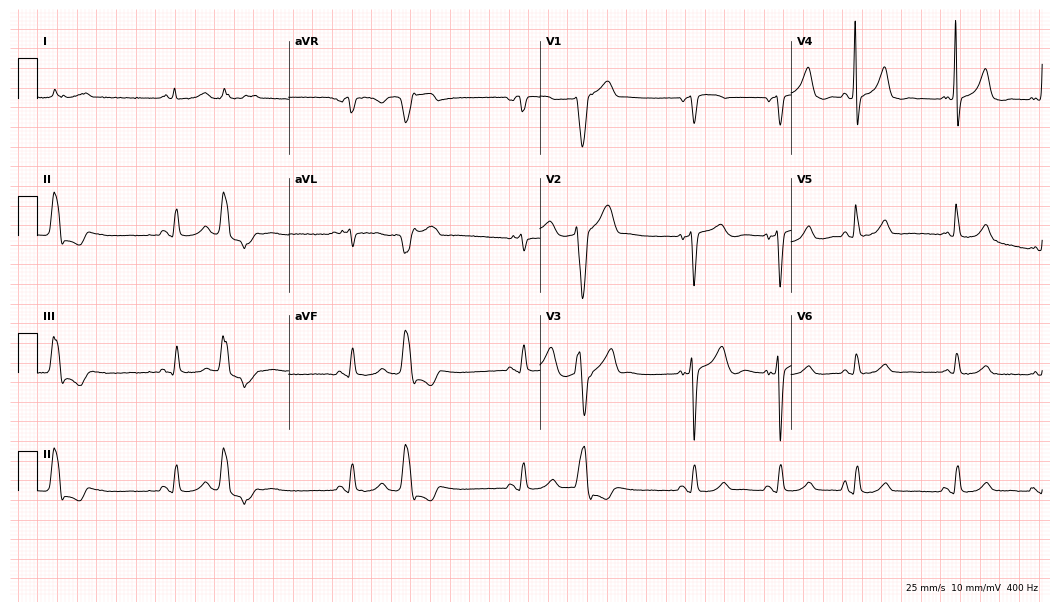
12-lead ECG from a 77-year-old man (10.2-second recording at 400 Hz). Recorded interpretation: within normal limits.